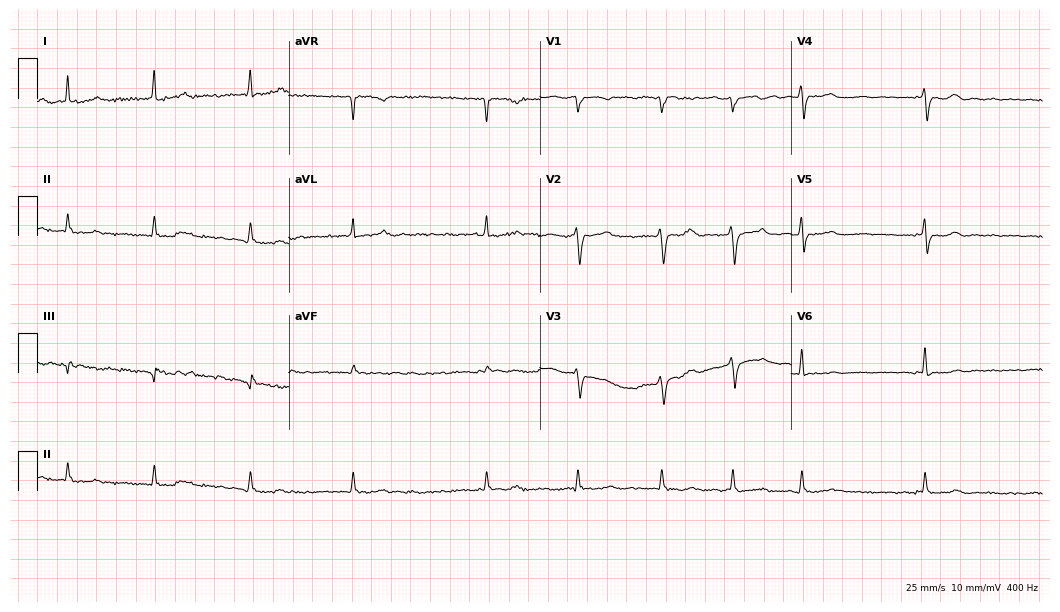
ECG — a female, 76 years old. Screened for six findings — first-degree AV block, right bundle branch block, left bundle branch block, sinus bradycardia, atrial fibrillation, sinus tachycardia — none is recorded.